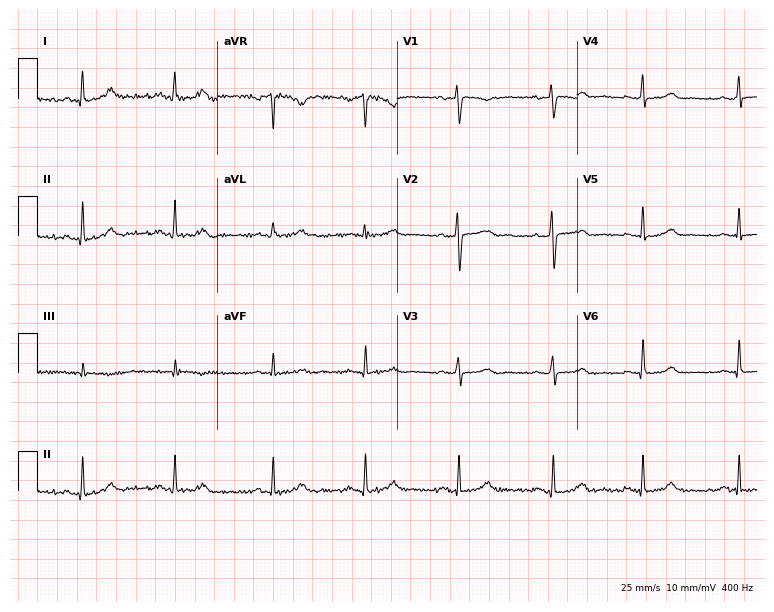
Electrocardiogram, a 36-year-old woman. Of the six screened findings (first-degree AV block, right bundle branch block (RBBB), left bundle branch block (LBBB), sinus bradycardia, atrial fibrillation (AF), sinus tachycardia), none is recorded.